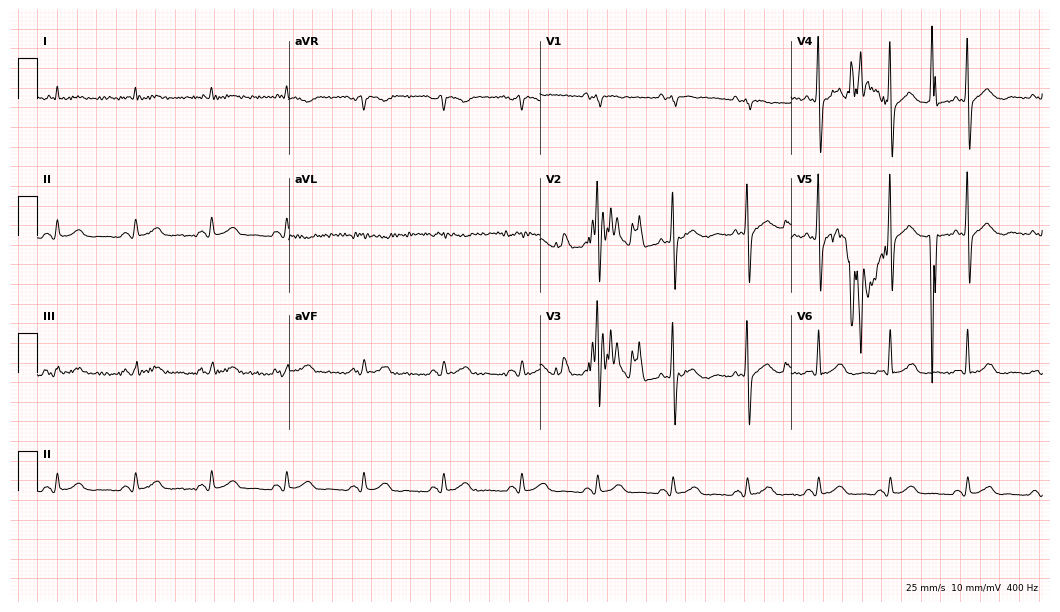
12-lead ECG (10.2-second recording at 400 Hz) from a man, 69 years old. Screened for six findings — first-degree AV block, right bundle branch block, left bundle branch block, sinus bradycardia, atrial fibrillation, sinus tachycardia — none is recorded.